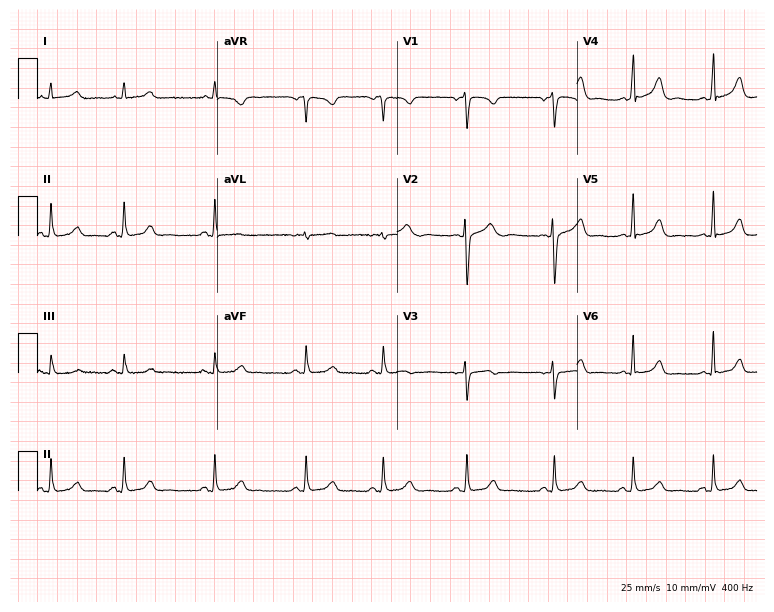
Resting 12-lead electrocardiogram. Patient: a female, 23 years old. Read as a normal ECG.